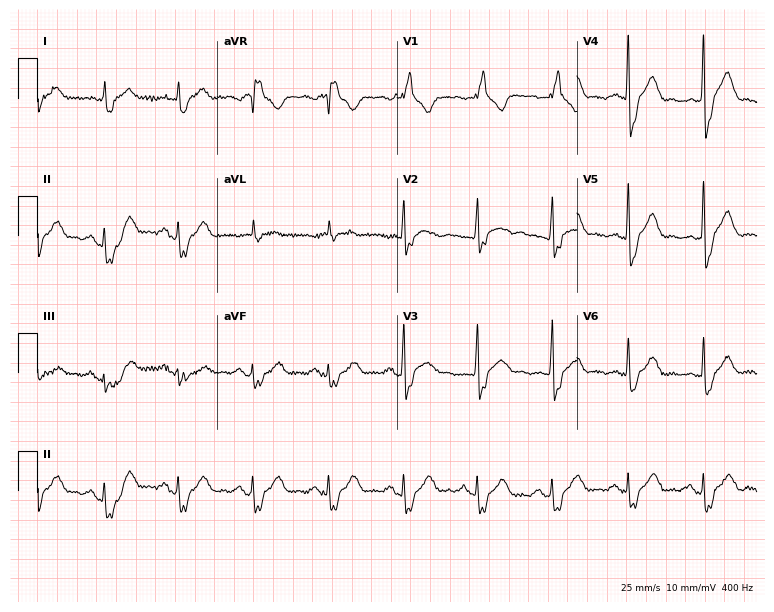
Resting 12-lead electrocardiogram (7.3-second recording at 400 Hz). Patient: a male, 62 years old. The tracing shows right bundle branch block.